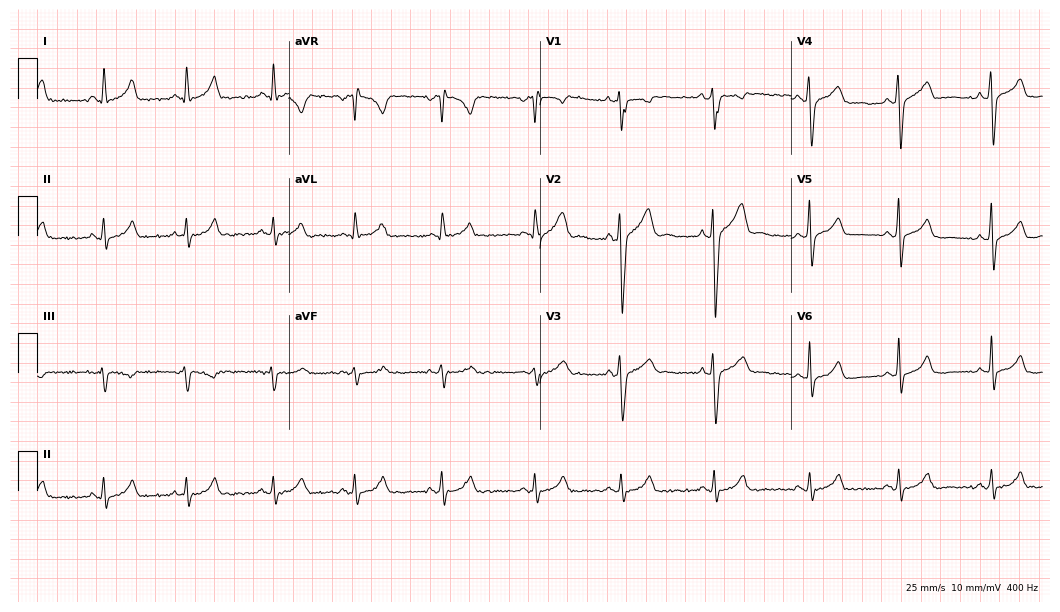
12-lead ECG from a male patient, 28 years old (10.2-second recording at 400 Hz). Recorded interpretation: within normal limits.